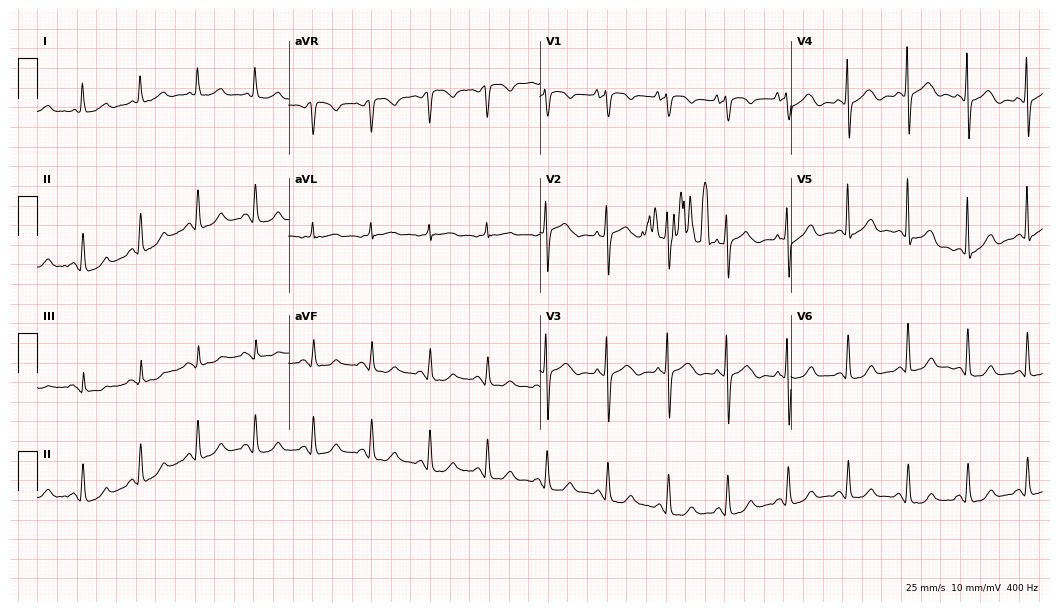
12-lead ECG from a 78-year-old female. Recorded interpretation: within normal limits.